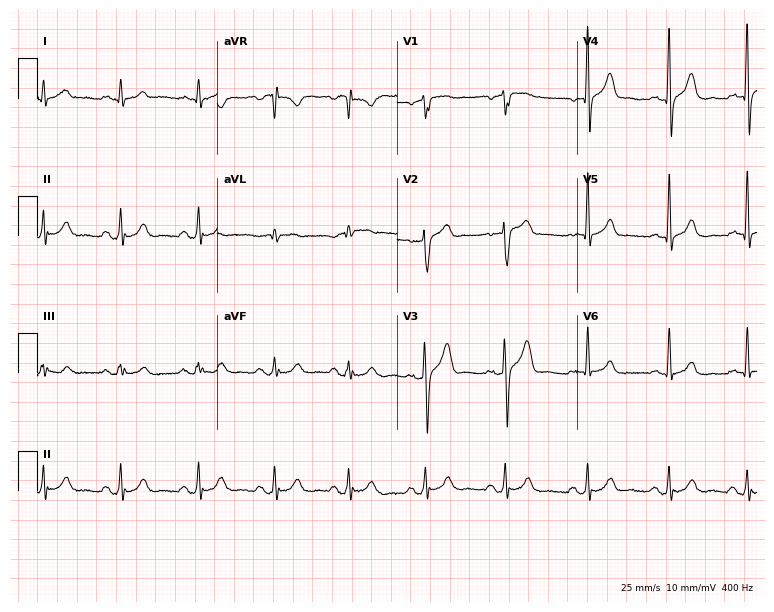
12-lead ECG from a man, 63 years old (7.3-second recording at 400 Hz). No first-degree AV block, right bundle branch block (RBBB), left bundle branch block (LBBB), sinus bradycardia, atrial fibrillation (AF) or sinus tachycardia recorded for this tracing. Findings outside these six are not listed.